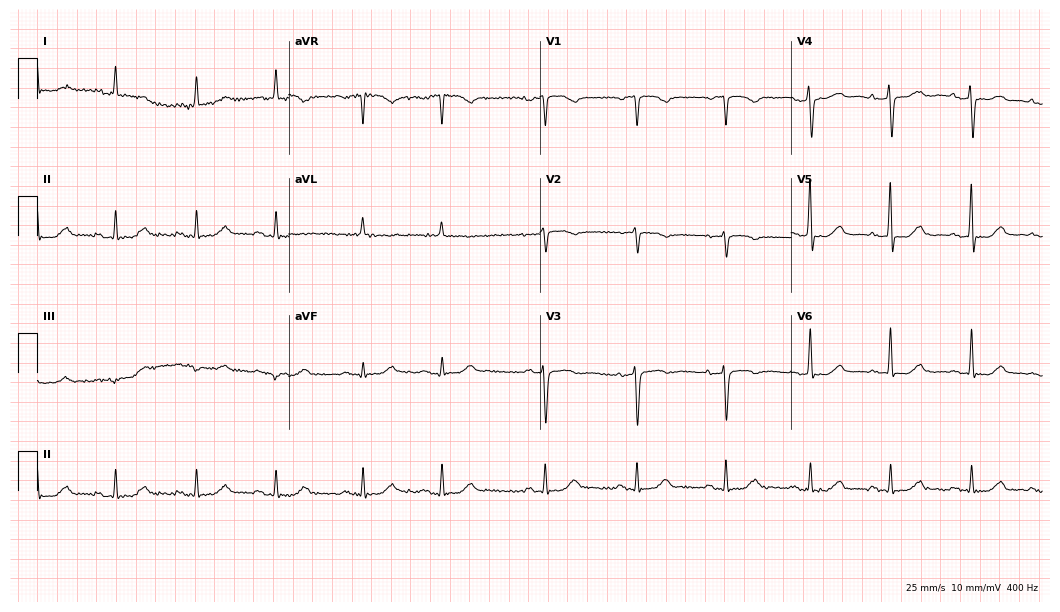
Electrocardiogram (10.2-second recording at 400 Hz), a 79-year-old woman. Overall reading on record: normal ECG.